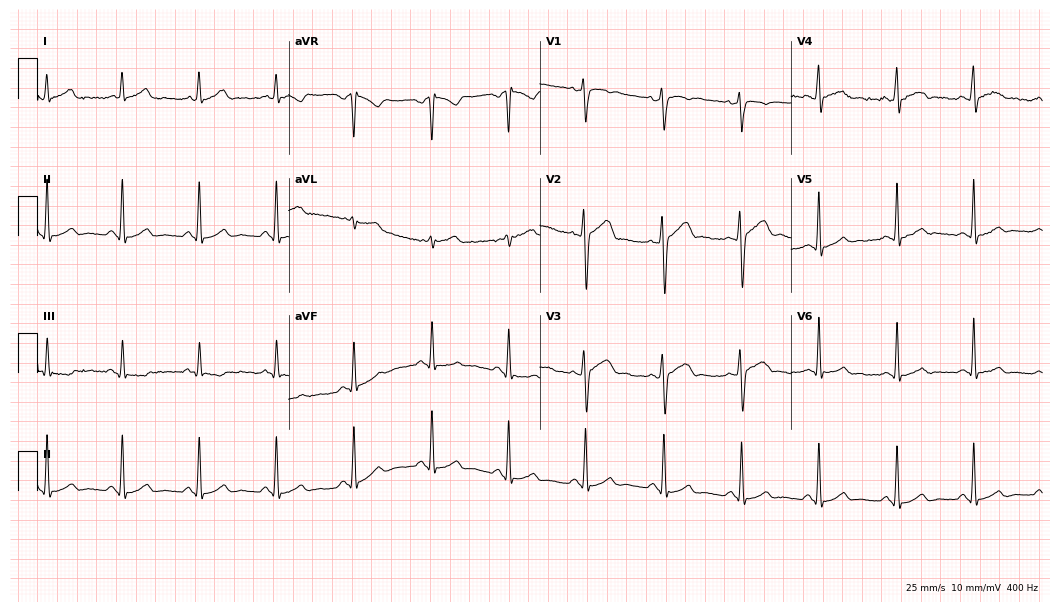
12-lead ECG (10.2-second recording at 400 Hz) from a male patient, 24 years old. Labelled as a normal ECG.